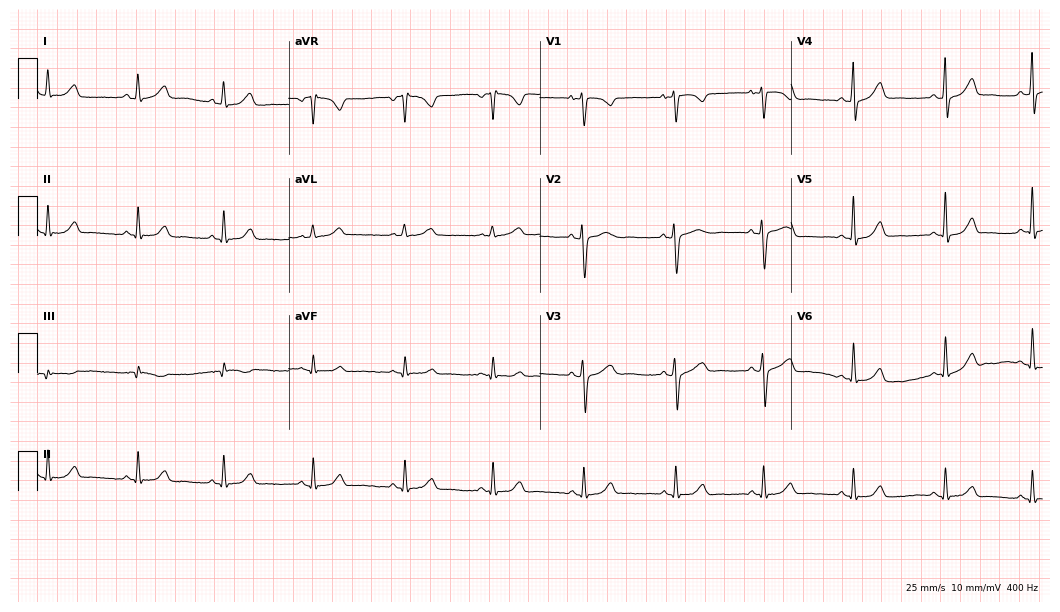
Standard 12-lead ECG recorded from a woman, 36 years old (10.2-second recording at 400 Hz). Read as a normal ECG.